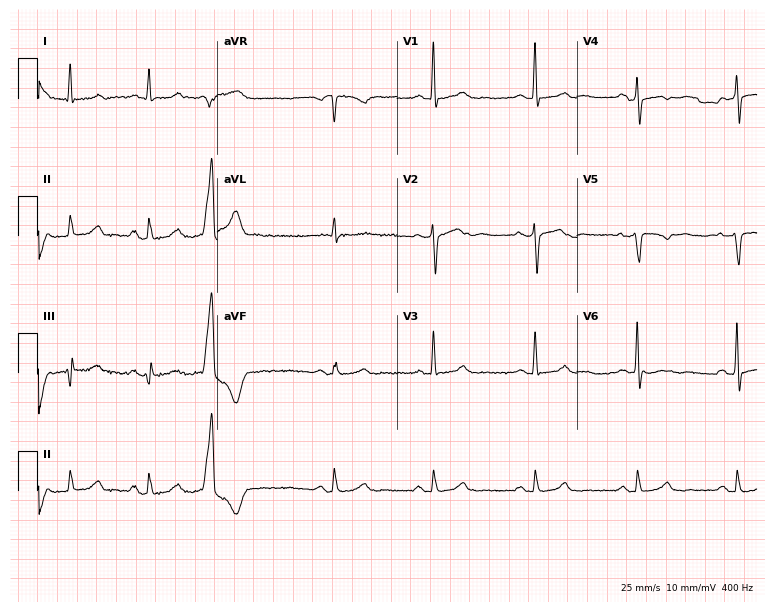
ECG — a 46-year-old male patient. Labelled as a normal ECG.